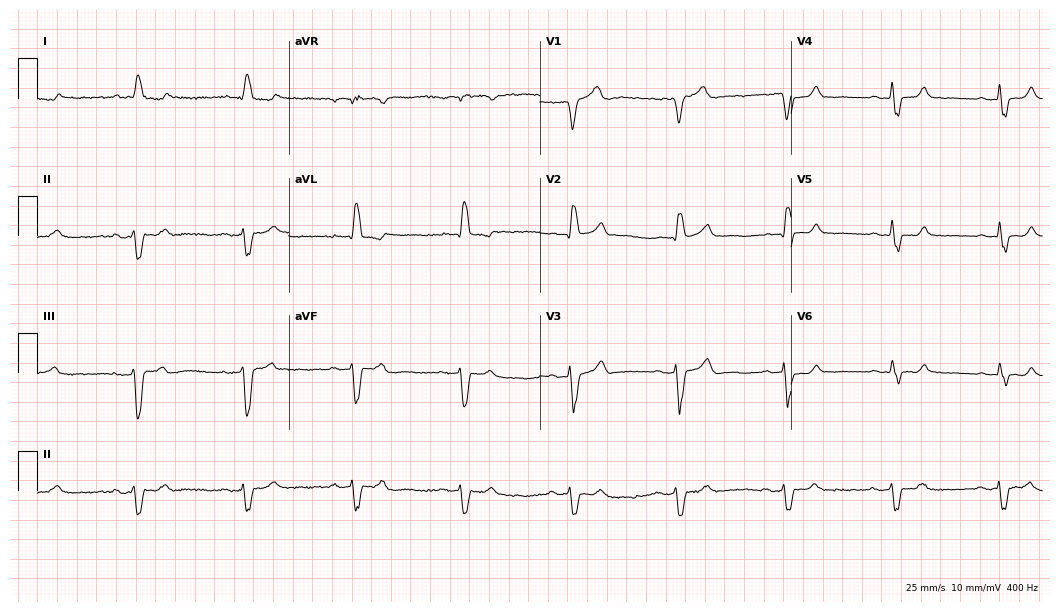
12-lead ECG from a male, 82 years old (10.2-second recording at 400 Hz). Shows first-degree AV block, left bundle branch block (LBBB).